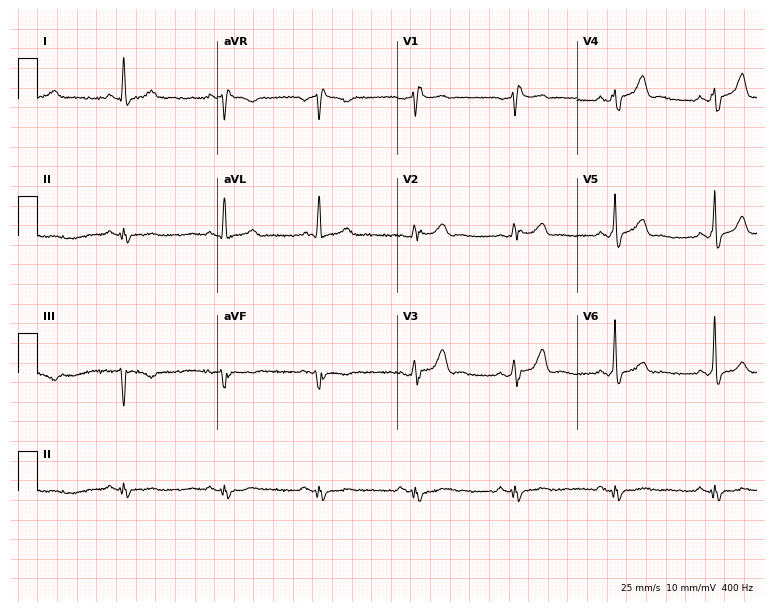
12-lead ECG from a 50-year-old male patient (7.3-second recording at 400 Hz). No first-degree AV block, right bundle branch block, left bundle branch block, sinus bradycardia, atrial fibrillation or sinus tachycardia recorded for this tracing.